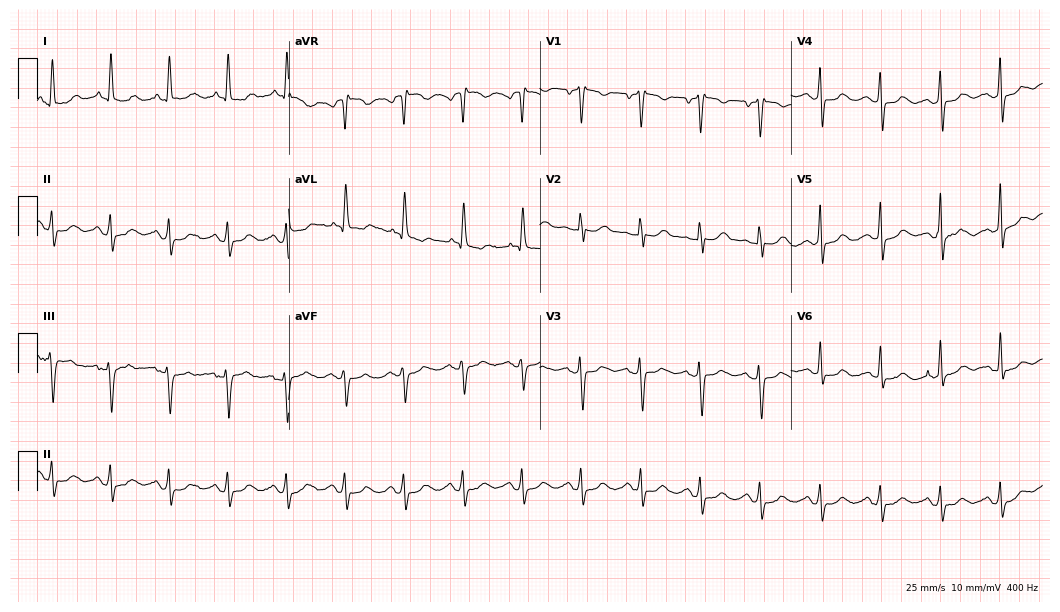
Resting 12-lead electrocardiogram. Patient: a female, 69 years old. None of these six findings is recorded: first-degree AV block, right bundle branch block, left bundle branch block, sinus bradycardia, atrial fibrillation, sinus tachycardia. Findings outside these six are not listed.